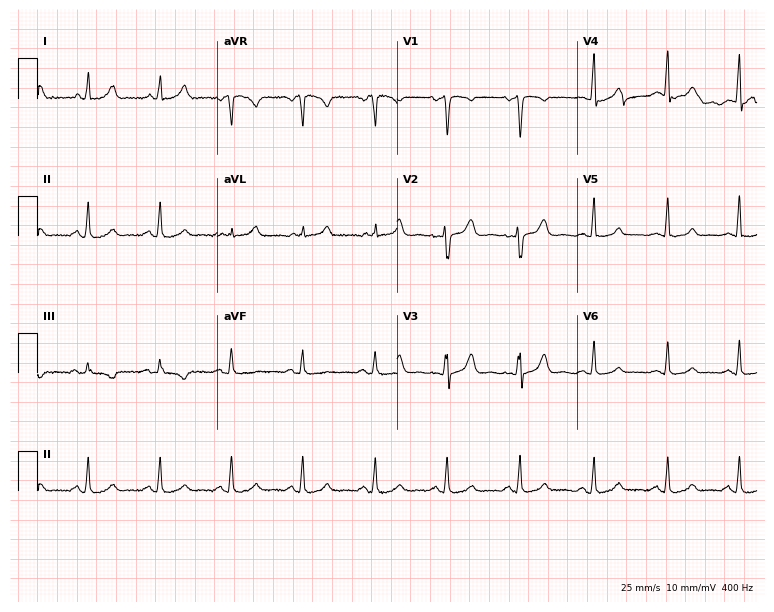
12-lead ECG (7.3-second recording at 400 Hz) from a female patient, 36 years old. Screened for six findings — first-degree AV block, right bundle branch block, left bundle branch block, sinus bradycardia, atrial fibrillation, sinus tachycardia — none is recorded. Findings outside these six are not listed.